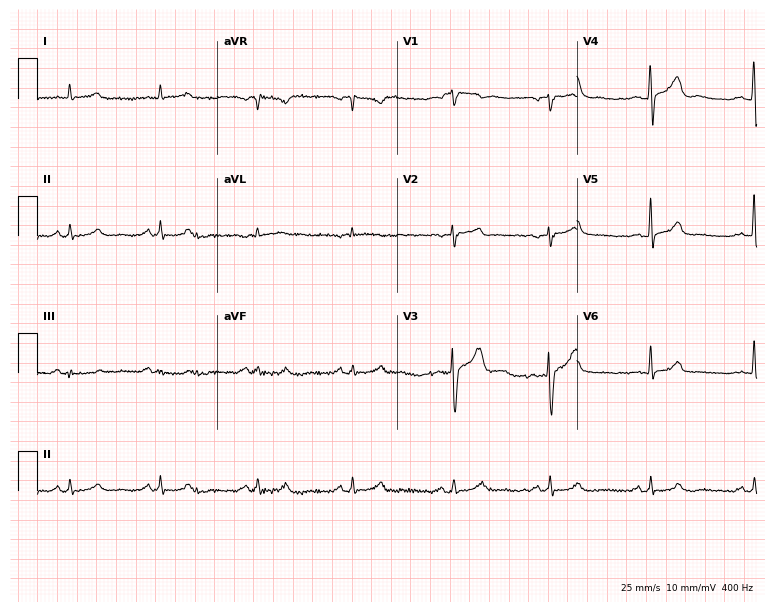
12-lead ECG (7.3-second recording at 400 Hz) from a male, 41 years old. Labelled as a normal ECG.